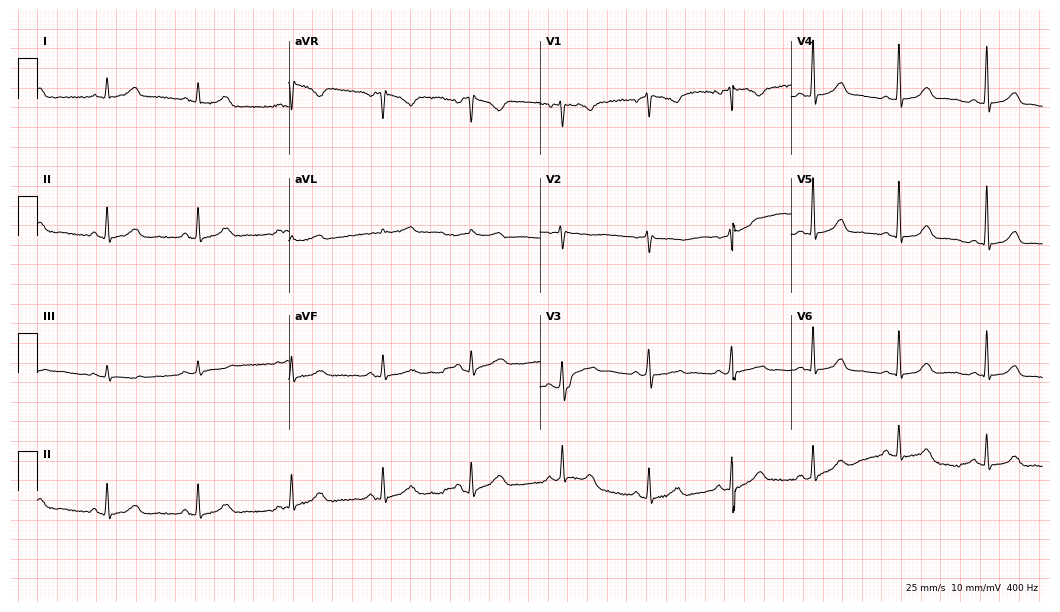
12-lead ECG from a female, 35 years old (10.2-second recording at 400 Hz). Recorded interpretation: within normal limits.